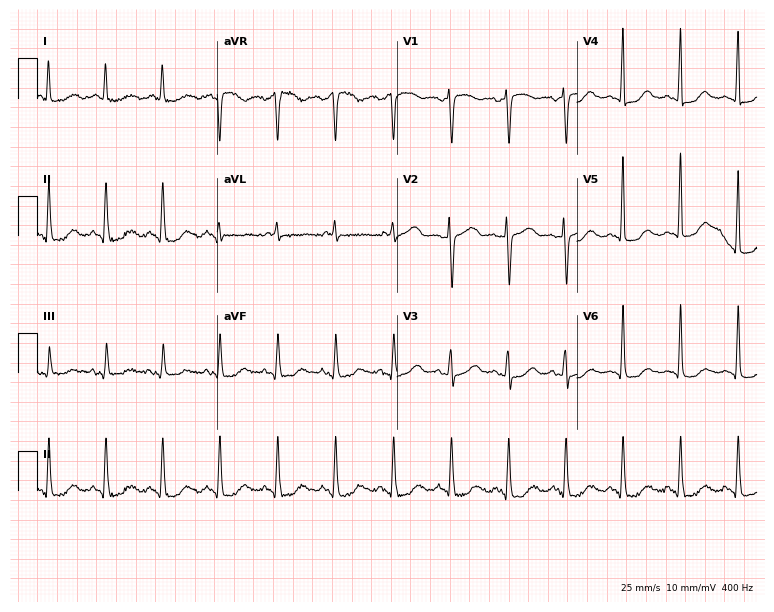
12-lead ECG from an 82-year-old female. Screened for six findings — first-degree AV block, right bundle branch block, left bundle branch block, sinus bradycardia, atrial fibrillation, sinus tachycardia — none is recorded.